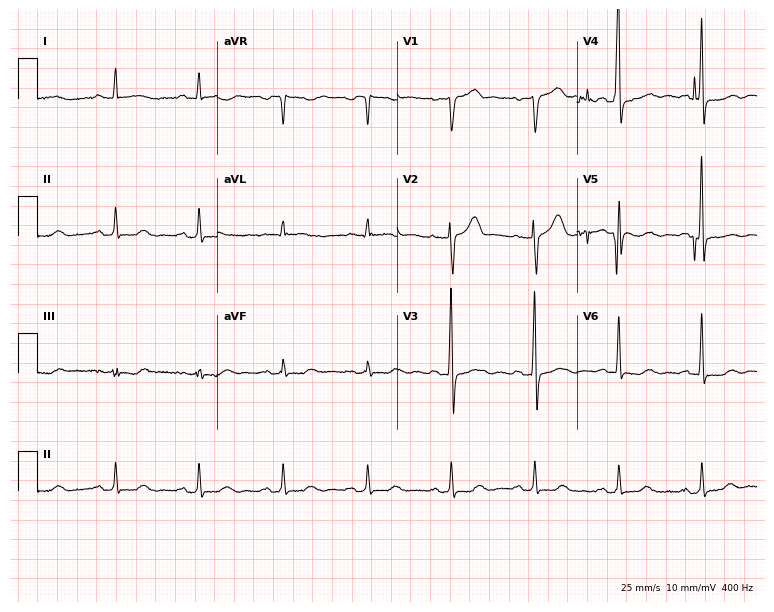
12-lead ECG from a male patient, 78 years old (7.3-second recording at 400 Hz). No first-degree AV block, right bundle branch block (RBBB), left bundle branch block (LBBB), sinus bradycardia, atrial fibrillation (AF) or sinus tachycardia recorded for this tracing. Only these six findings were labelled.